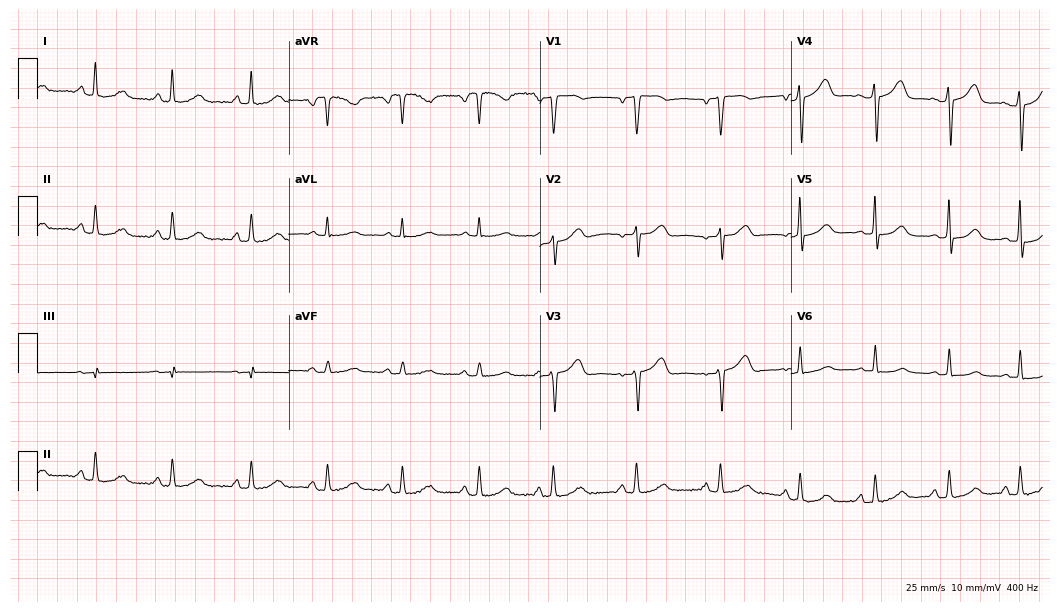
12-lead ECG from a 57-year-old female. Labelled as a normal ECG.